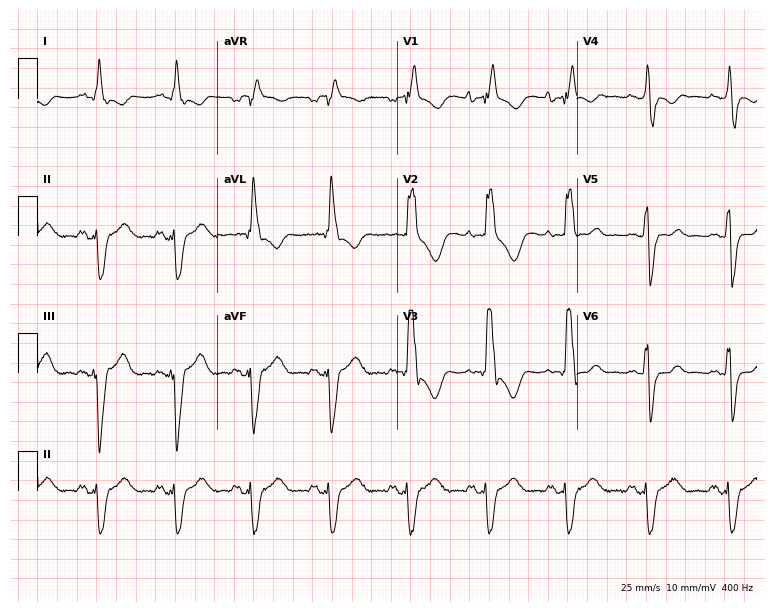
12-lead ECG from a 35-year-old man. Shows right bundle branch block (RBBB).